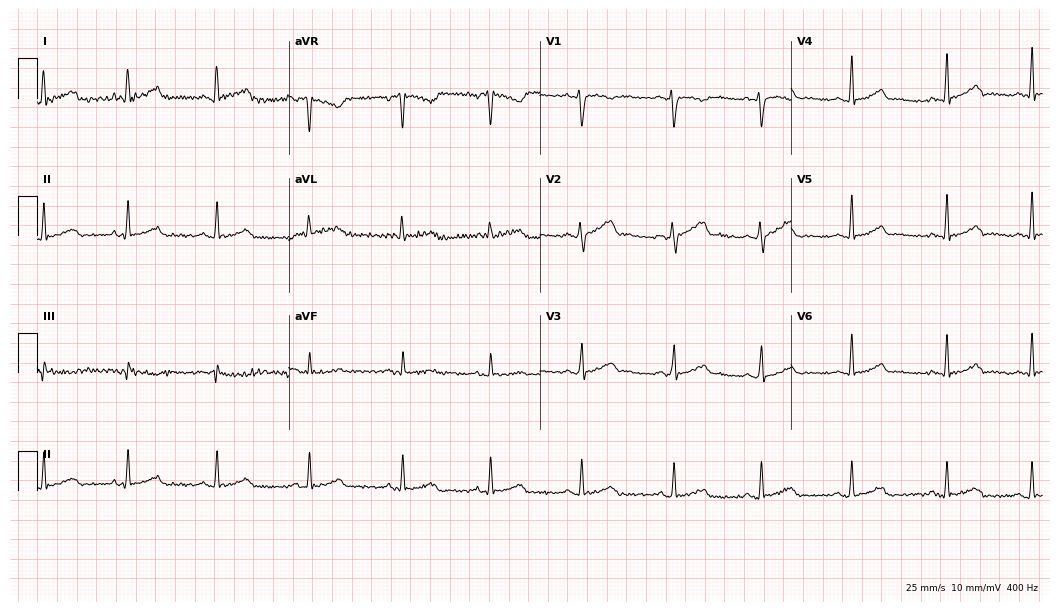
ECG (10.2-second recording at 400 Hz) — a female patient, 35 years old. Labelled as a normal ECG.